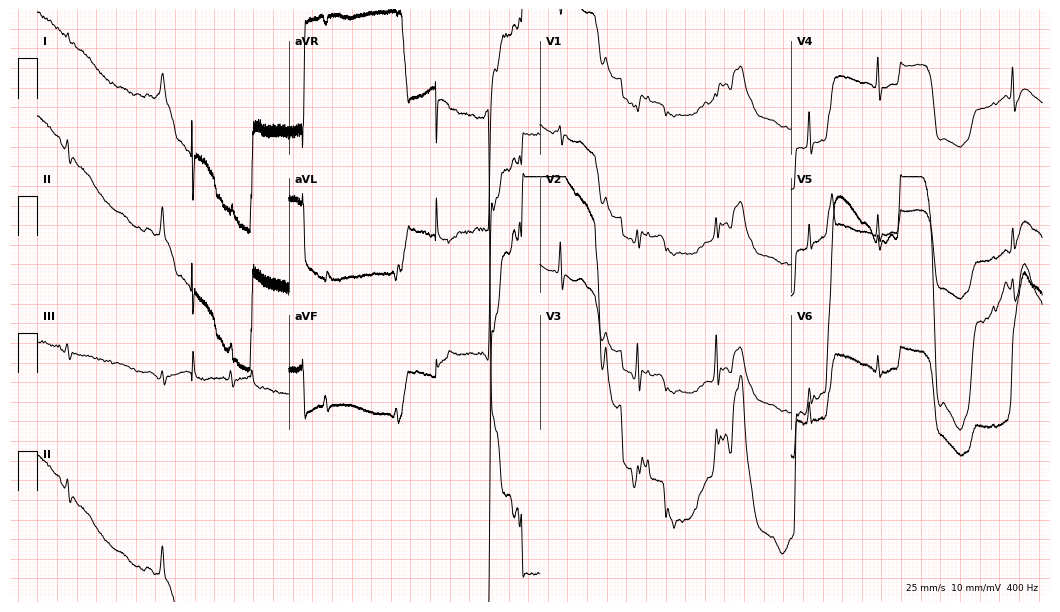
ECG — an 86-year-old man. Screened for six findings — first-degree AV block, right bundle branch block, left bundle branch block, sinus bradycardia, atrial fibrillation, sinus tachycardia — none is recorded. Findings outside these six are not listed.